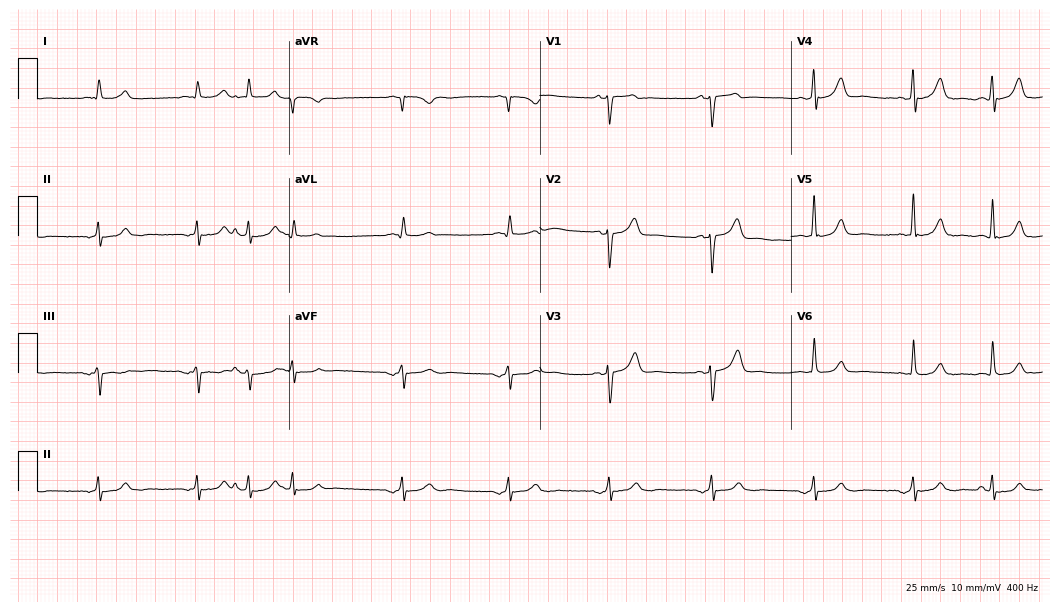
12-lead ECG (10.2-second recording at 400 Hz) from a 69-year-old male patient. Labelled as a normal ECG.